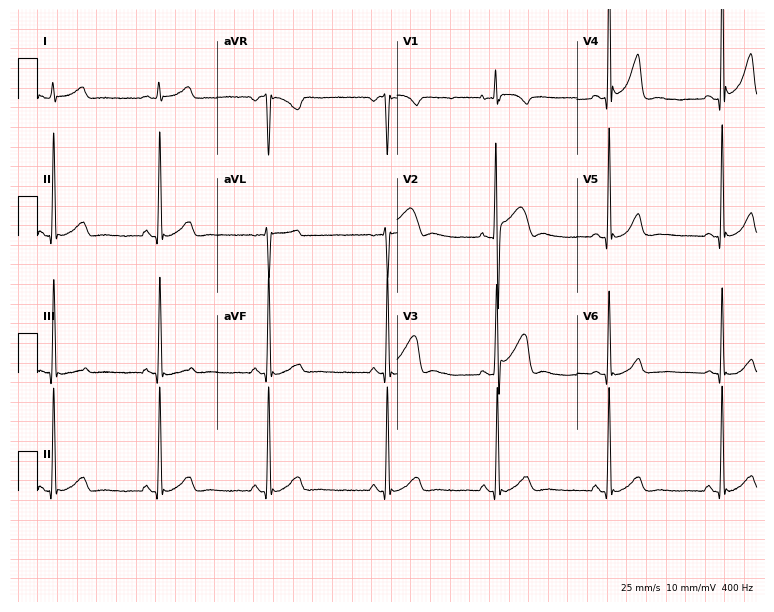
Resting 12-lead electrocardiogram. Patient: a male, 48 years old. None of these six findings is recorded: first-degree AV block, right bundle branch block, left bundle branch block, sinus bradycardia, atrial fibrillation, sinus tachycardia. Only these six findings were labelled.